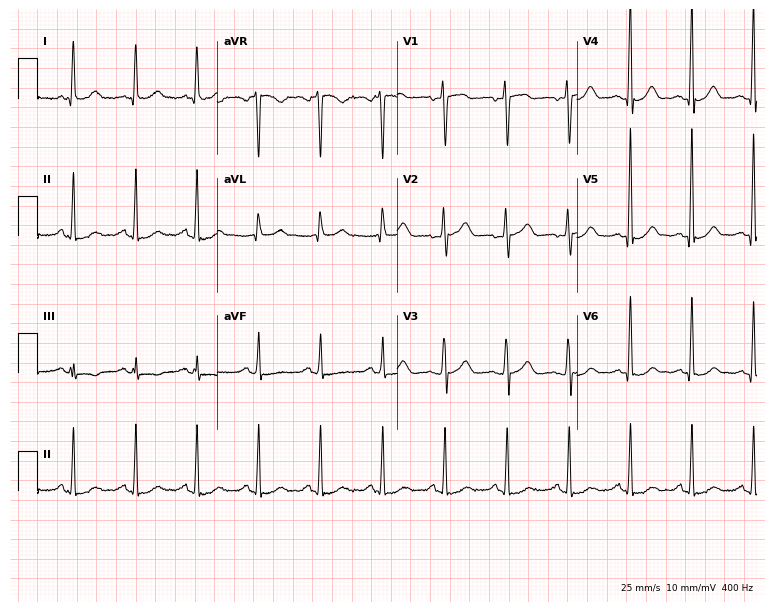
Standard 12-lead ECG recorded from a female patient, 54 years old. Read as a normal ECG.